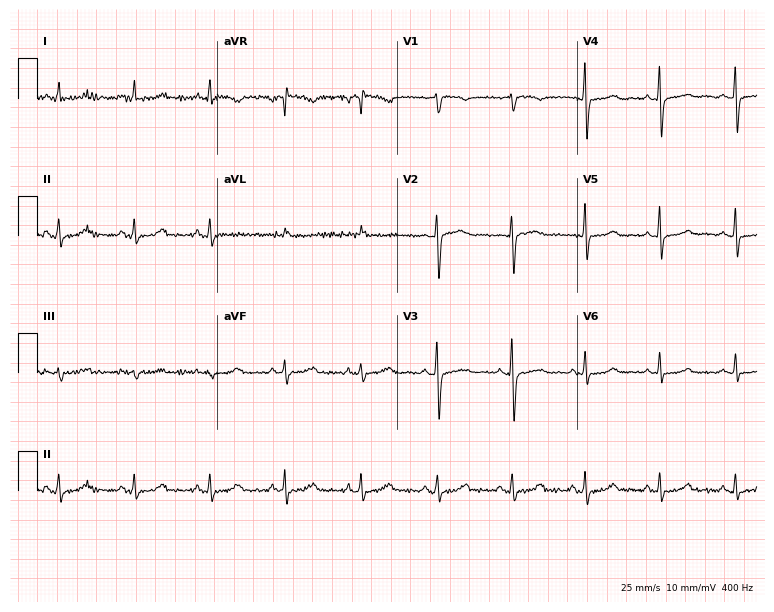
Resting 12-lead electrocardiogram (7.3-second recording at 400 Hz). Patient: a 40-year-old female. None of these six findings is recorded: first-degree AV block, right bundle branch block, left bundle branch block, sinus bradycardia, atrial fibrillation, sinus tachycardia. Only these six findings were labelled.